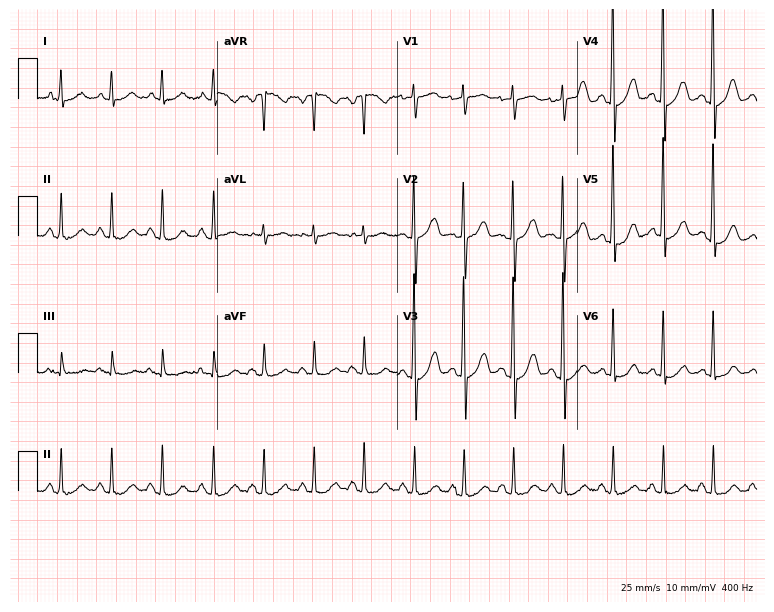
ECG — a female patient, 76 years old. Screened for six findings — first-degree AV block, right bundle branch block, left bundle branch block, sinus bradycardia, atrial fibrillation, sinus tachycardia — none is recorded.